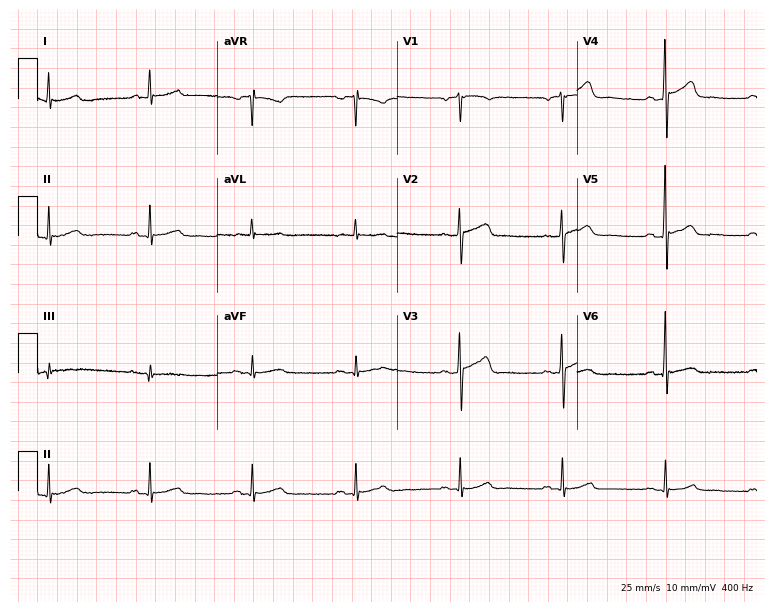
Resting 12-lead electrocardiogram (7.3-second recording at 400 Hz). Patient: a male, 70 years old. None of these six findings is recorded: first-degree AV block, right bundle branch block, left bundle branch block, sinus bradycardia, atrial fibrillation, sinus tachycardia.